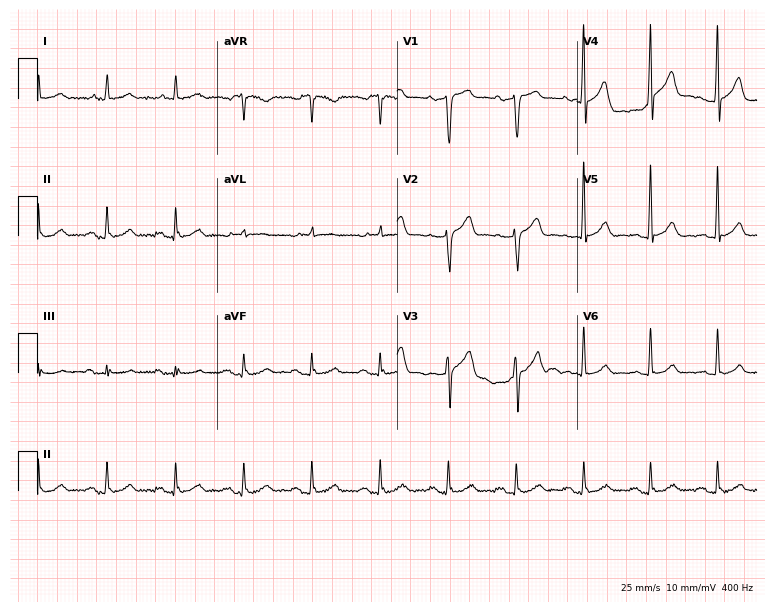
ECG (7.3-second recording at 400 Hz) — an 80-year-old man. Labelled as a normal ECG.